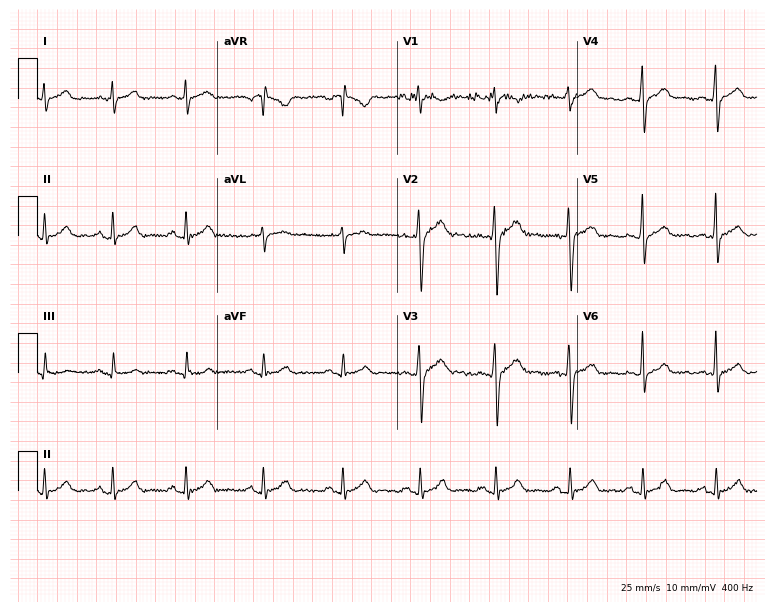
Resting 12-lead electrocardiogram (7.3-second recording at 400 Hz). Patient: a 28-year-old male. Read as a normal ECG.